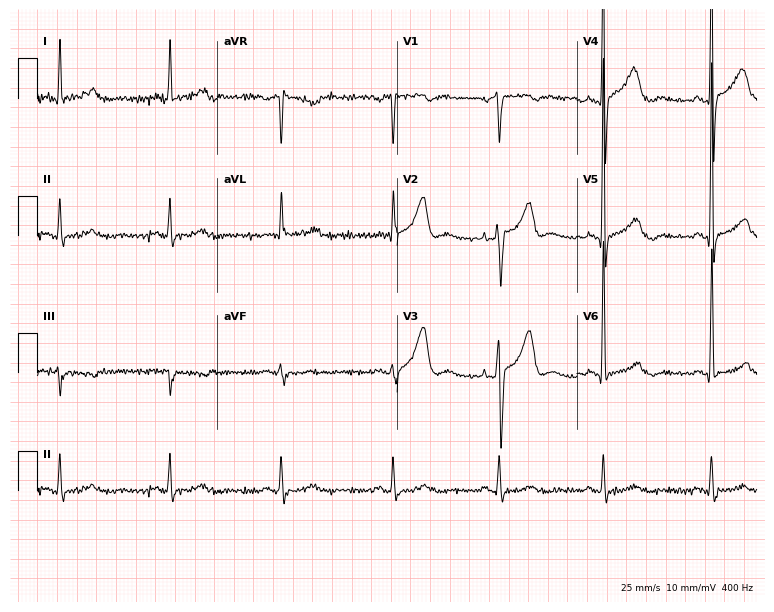
ECG (7.3-second recording at 400 Hz) — a 66-year-old man. Screened for six findings — first-degree AV block, right bundle branch block (RBBB), left bundle branch block (LBBB), sinus bradycardia, atrial fibrillation (AF), sinus tachycardia — none is recorded. Only these six findings were labelled.